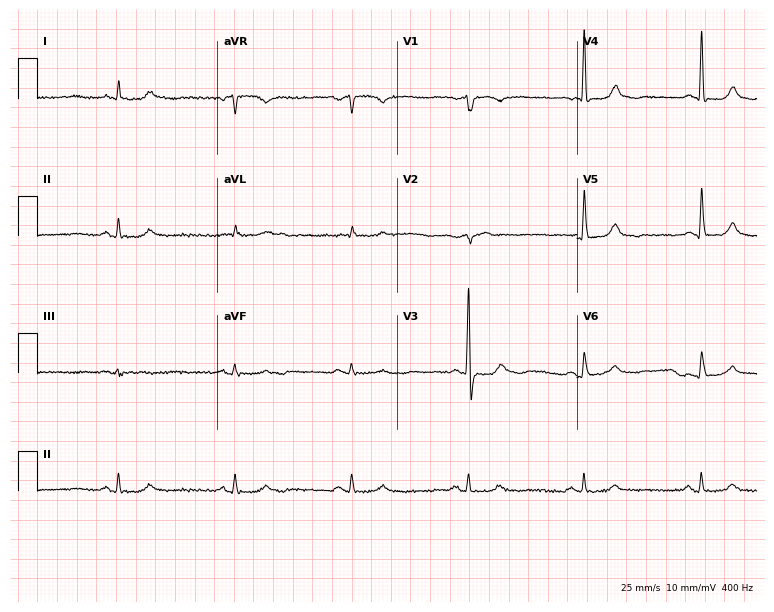
12-lead ECG from a 72-year-old male. No first-degree AV block, right bundle branch block, left bundle branch block, sinus bradycardia, atrial fibrillation or sinus tachycardia recorded for this tracing.